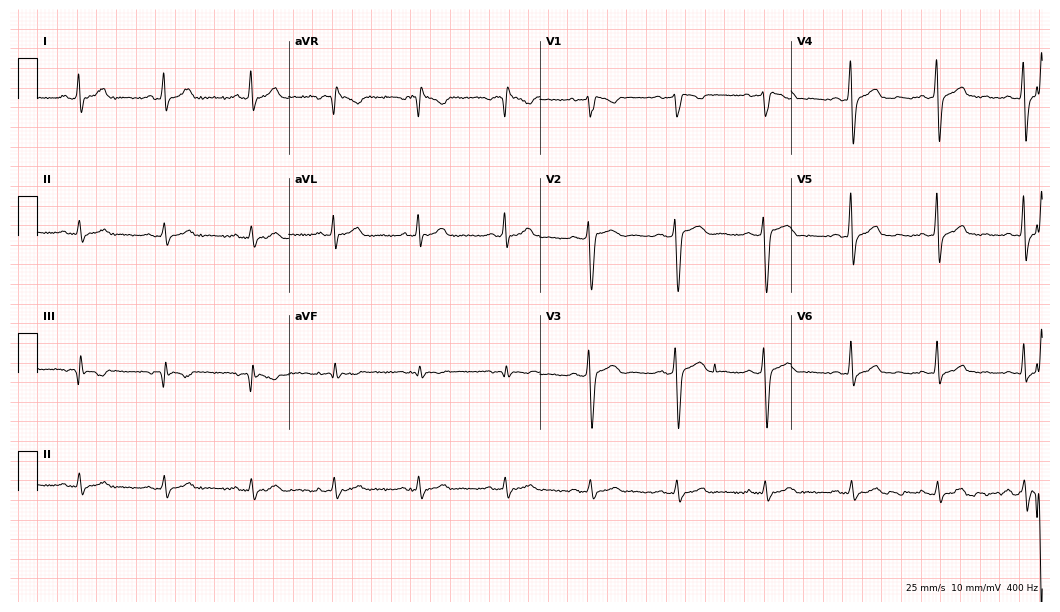
Standard 12-lead ECG recorded from a male, 29 years old (10.2-second recording at 400 Hz). None of these six findings is recorded: first-degree AV block, right bundle branch block (RBBB), left bundle branch block (LBBB), sinus bradycardia, atrial fibrillation (AF), sinus tachycardia. Only these six findings were labelled.